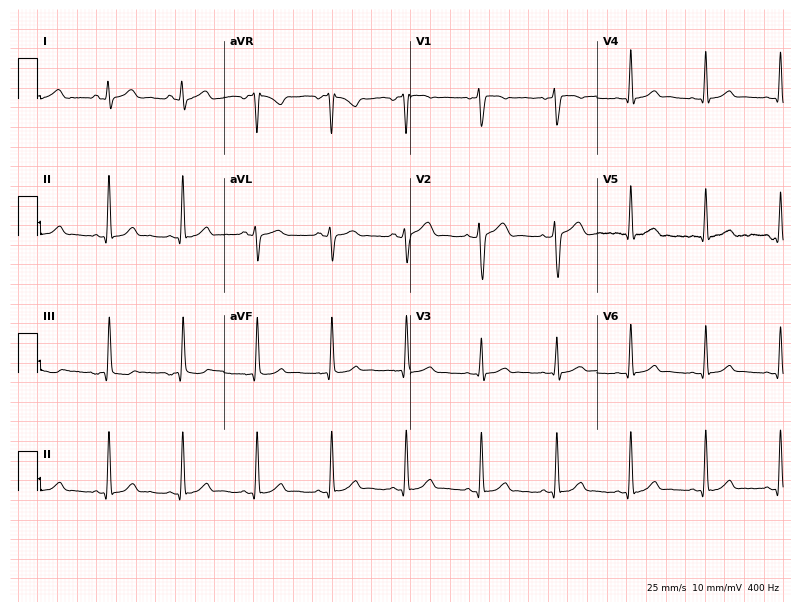
Electrocardiogram (7.6-second recording at 400 Hz), a female, 36 years old. Overall reading on record: normal ECG.